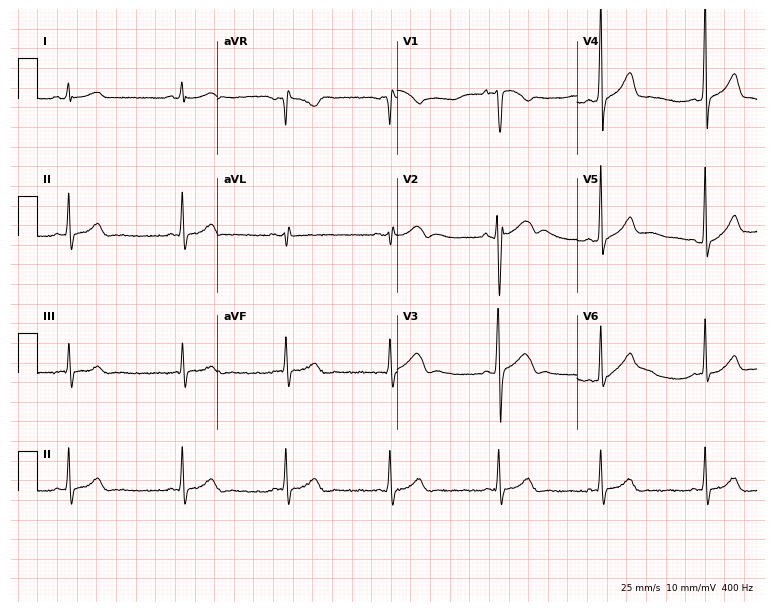
Resting 12-lead electrocardiogram (7.3-second recording at 400 Hz). Patient: an 18-year-old male. None of these six findings is recorded: first-degree AV block, right bundle branch block, left bundle branch block, sinus bradycardia, atrial fibrillation, sinus tachycardia. Only these six findings were labelled.